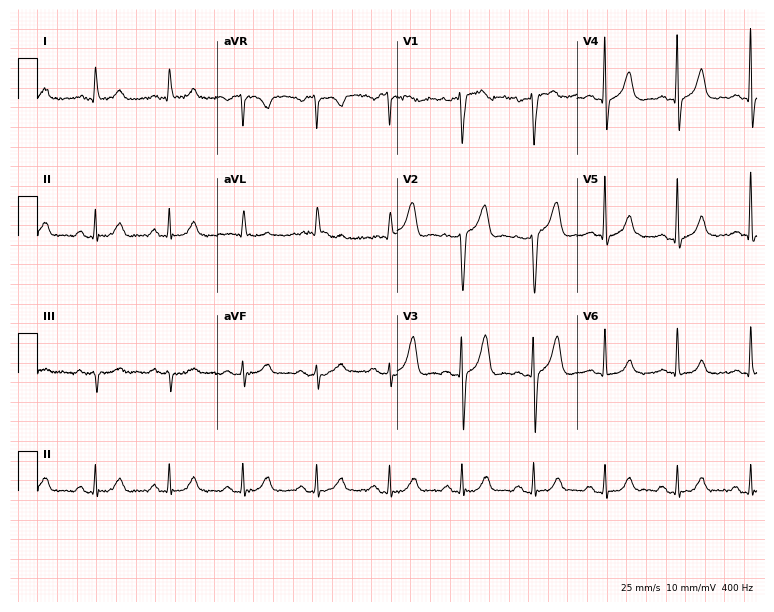
Standard 12-lead ECG recorded from a 67-year-old man. Read as a normal ECG.